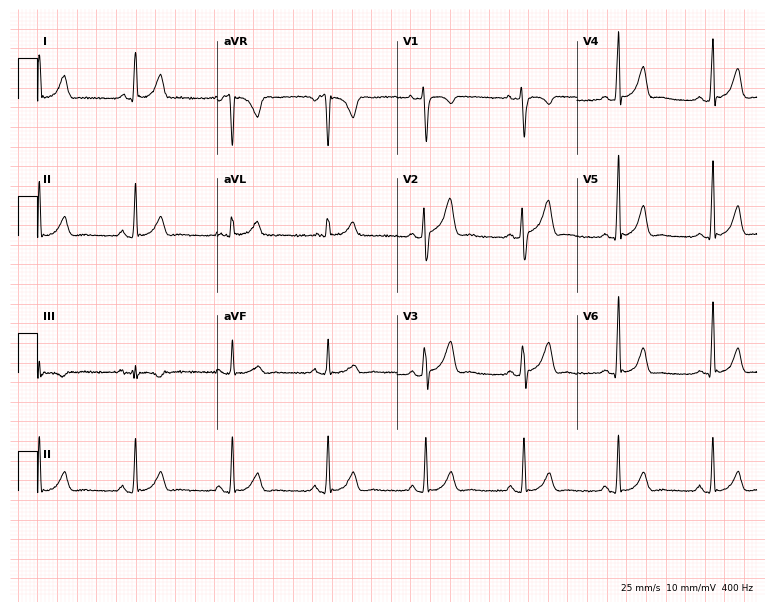
Resting 12-lead electrocardiogram (7.3-second recording at 400 Hz). Patient: a 44-year-old male. Read as a normal ECG.